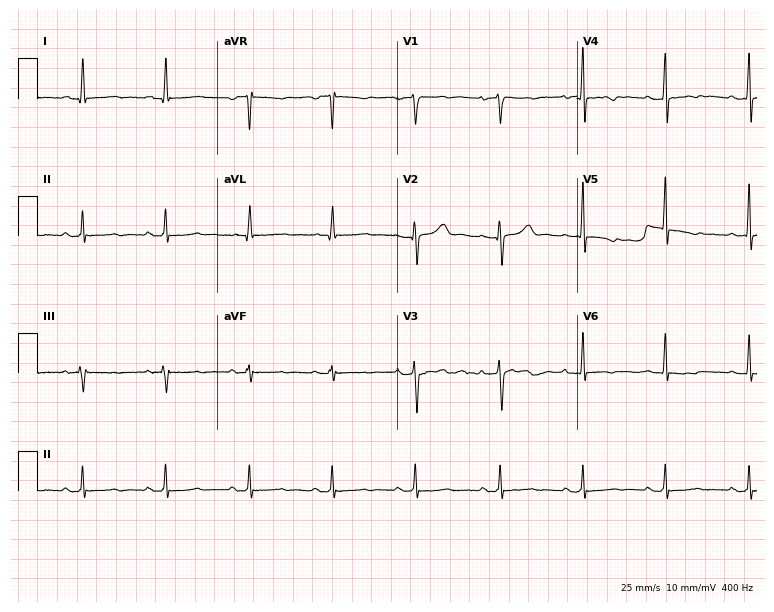
Resting 12-lead electrocardiogram (7.3-second recording at 400 Hz). Patient: a 50-year-old female. None of these six findings is recorded: first-degree AV block, right bundle branch block, left bundle branch block, sinus bradycardia, atrial fibrillation, sinus tachycardia. Only these six findings were labelled.